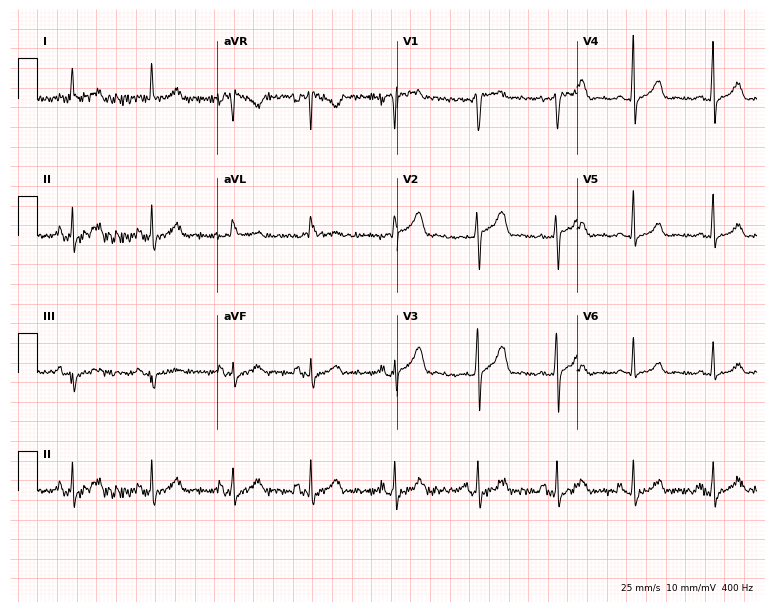
Resting 12-lead electrocardiogram. Patient: a female, 37 years old. Read as a normal ECG.